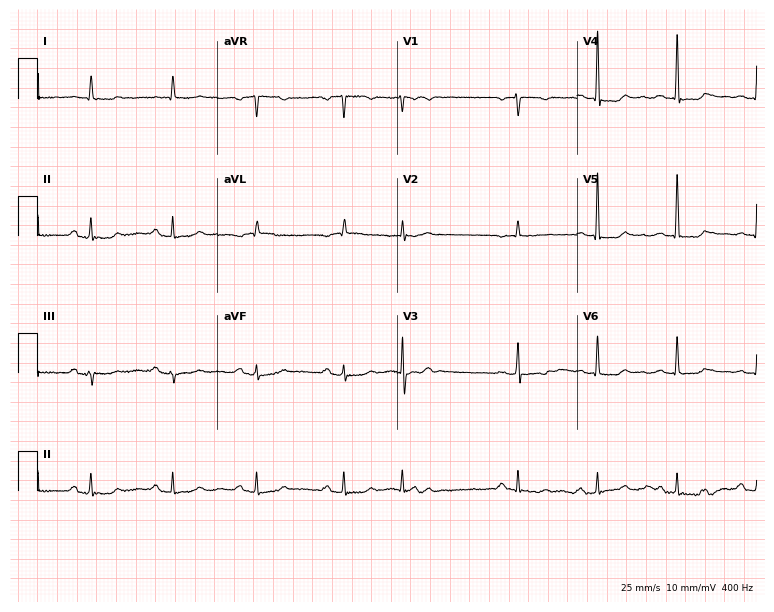
Electrocardiogram, a woman, 75 years old. Of the six screened findings (first-degree AV block, right bundle branch block, left bundle branch block, sinus bradycardia, atrial fibrillation, sinus tachycardia), none is recorded.